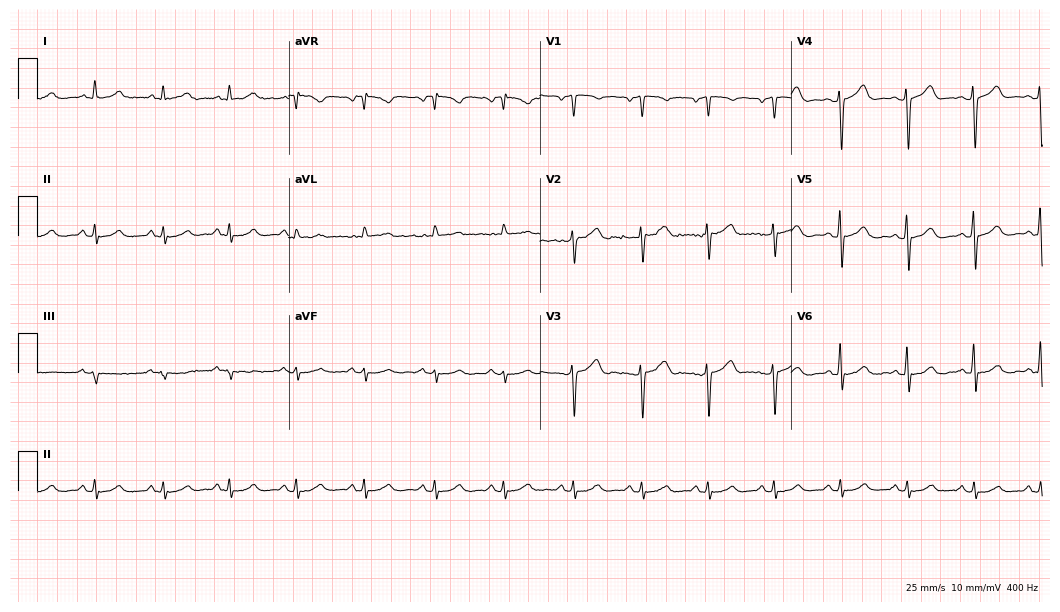
12-lead ECG from a 52-year-old male patient. Screened for six findings — first-degree AV block, right bundle branch block, left bundle branch block, sinus bradycardia, atrial fibrillation, sinus tachycardia — none is recorded.